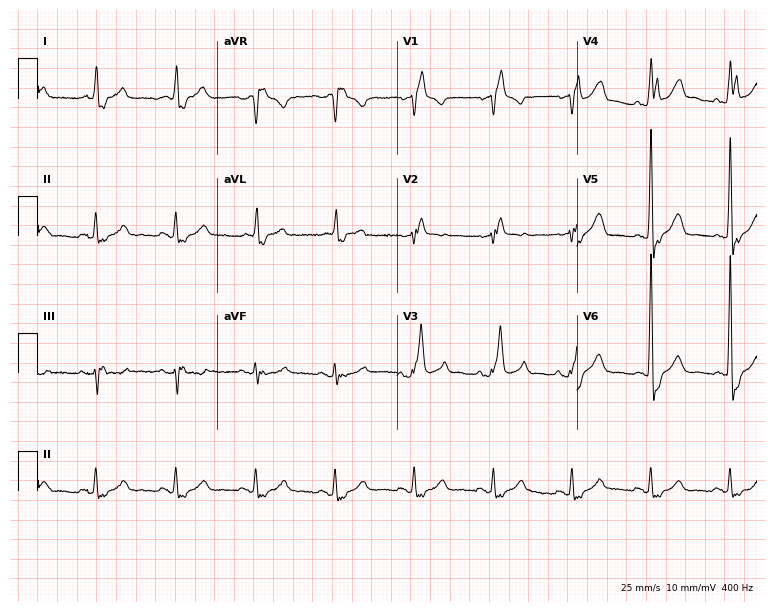
12-lead ECG from a man, 57 years old (7.3-second recording at 400 Hz). Shows right bundle branch block.